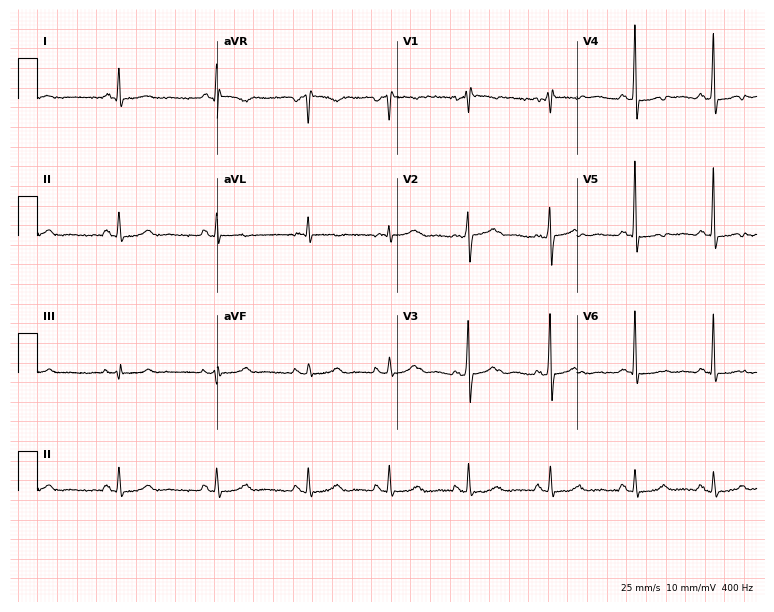
Standard 12-lead ECG recorded from a man, 66 years old (7.3-second recording at 400 Hz). None of these six findings is recorded: first-degree AV block, right bundle branch block (RBBB), left bundle branch block (LBBB), sinus bradycardia, atrial fibrillation (AF), sinus tachycardia.